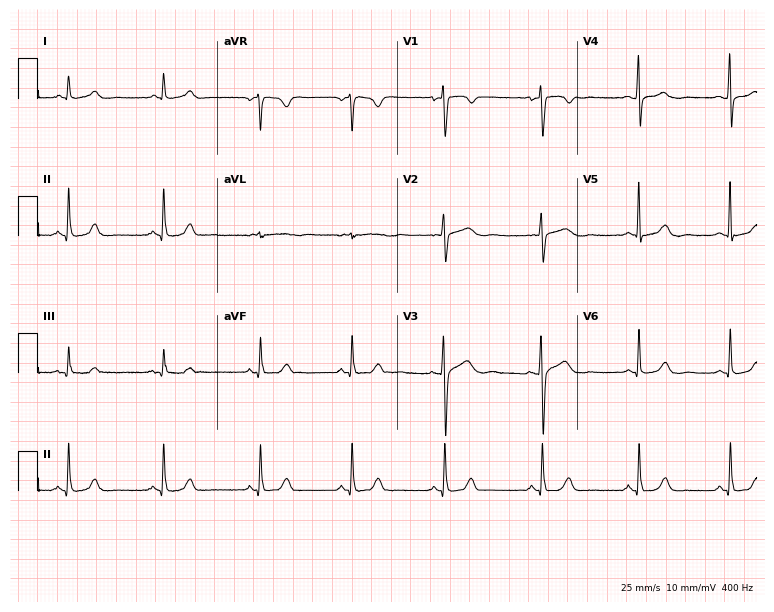
Resting 12-lead electrocardiogram (7.3-second recording at 400 Hz). Patient: a female, 43 years old. Read as a normal ECG.